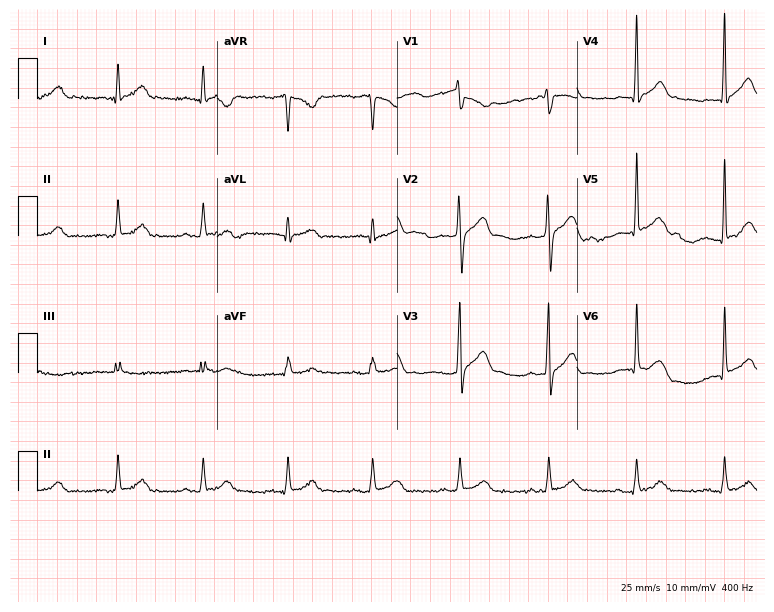
Standard 12-lead ECG recorded from a 37-year-old male patient. None of these six findings is recorded: first-degree AV block, right bundle branch block, left bundle branch block, sinus bradycardia, atrial fibrillation, sinus tachycardia. Findings outside these six are not listed.